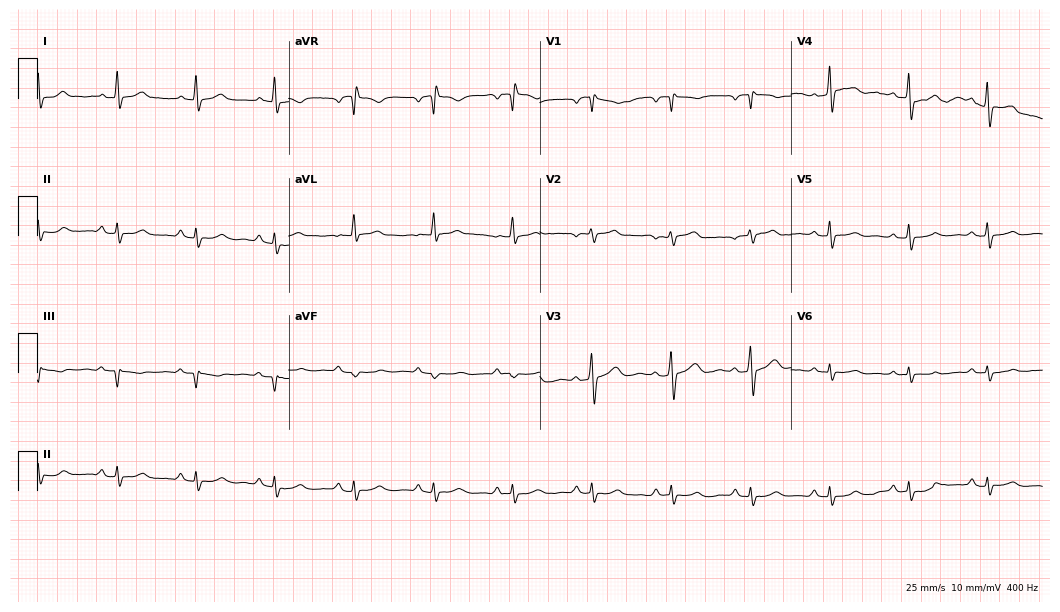
Resting 12-lead electrocardiogram. Patient: a man, 61 years old. None of these six findings is recorded: first-degree AV block, right bundle branch block, left bundle branch block, sinus bradycardia, atrial fibrillation, sinus tachycardia.